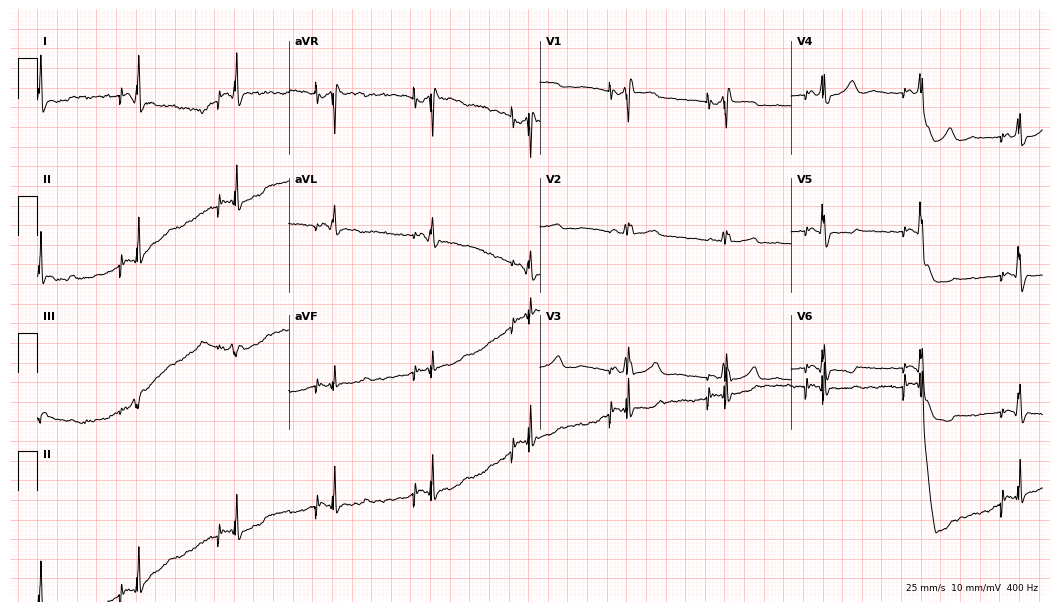
12-lead ECG from a 63-year-old man. No first-degree AV block, right bundle branch block, left bundle branch block, sinus bradycardia, atrial fibrillation or sinus tachycardia recorded for this tracing.